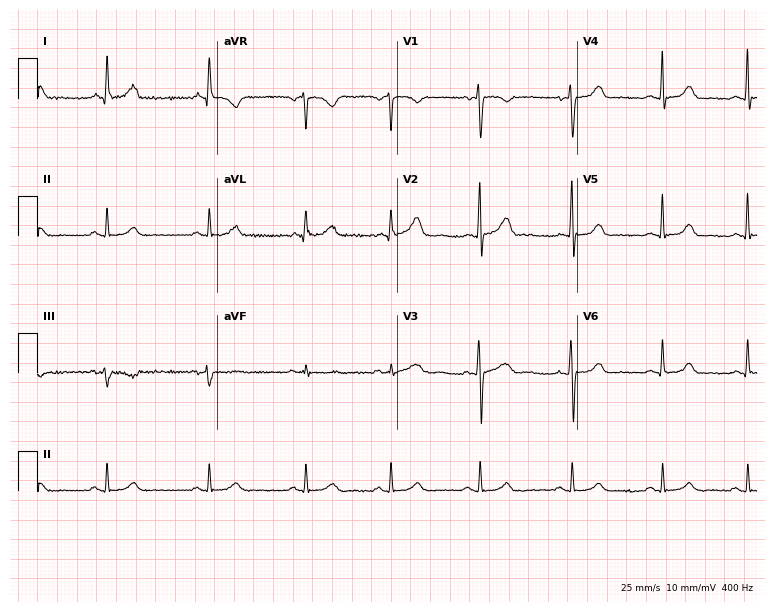
12-lead ECG from a female patient, 43 years old. Screened for six findings — first-degree AV block, right bundle branch block, left bundle branch block, sinus bradycardia, atrial fibrillation, sinus tachycardia — none is recorded. Other findings, if any, are not listed.